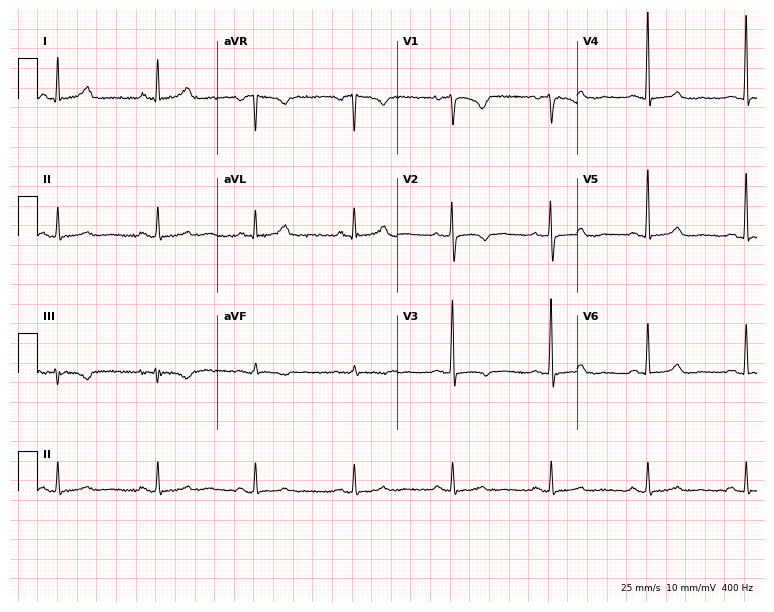
12-lead ECG from a 45-year-old female. Screened for six findings — first-degree AV block, right bundle branch block, left bundle branch block, sinus bradycardia, atrial fibrillation, sinus tachycardia — none is recorded.